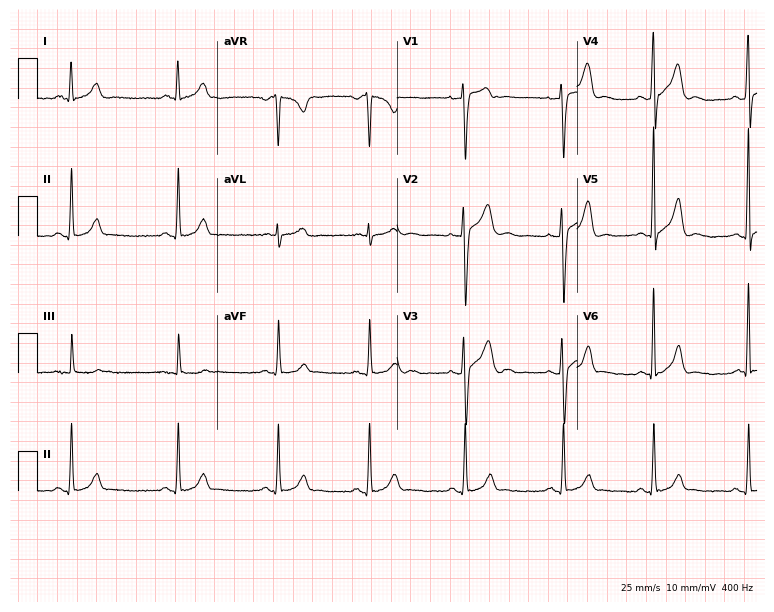
Resting 12-lead electrocardiogram (7.3-second recording at 400 Hz). Patient: a man, 27 years old. Read as a normal ECG.